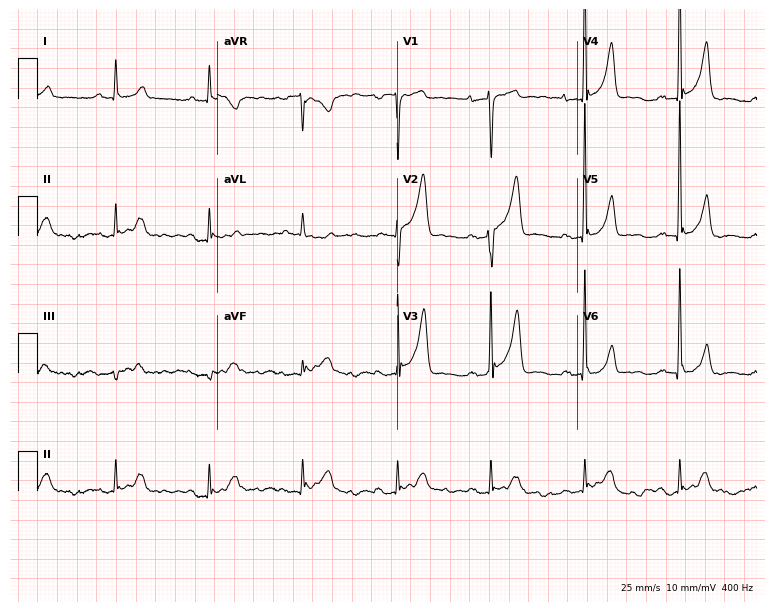
Standard 12-lead ECG recorded from a 76-year-old male patient (7.3-second recording at 400 Hz). None of these six findings is recorded: first-degree AV block, right bundle branch block, left bundle branch block, sinus bradycardia, atrial fibrillation, sinus tachycardia.